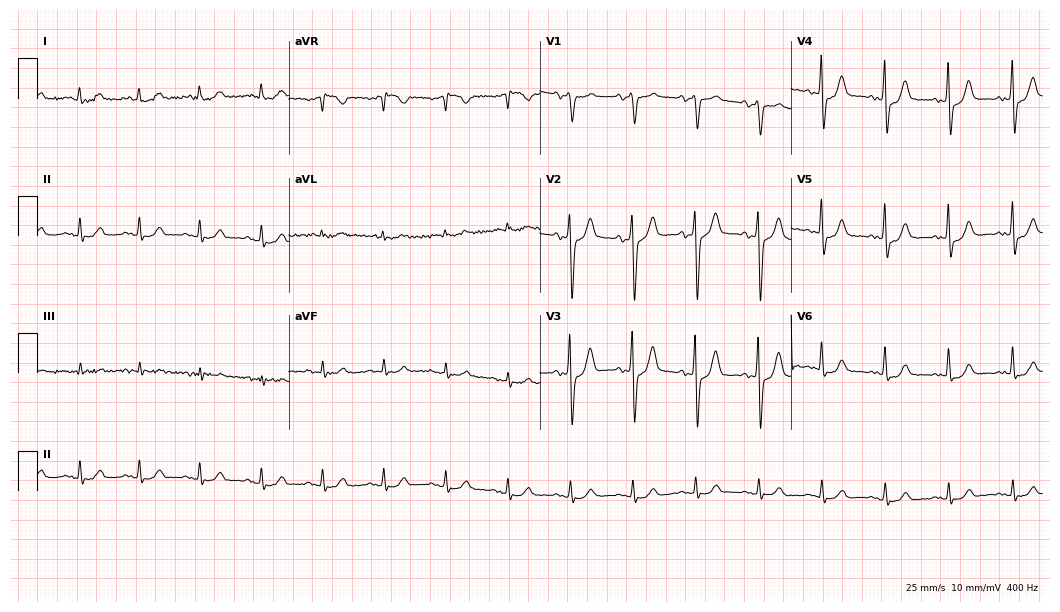
Standard 12-lead ECG recorded from a 61-year-old man (10.2-second recording at 400 Hz). Read as a normal ECG.